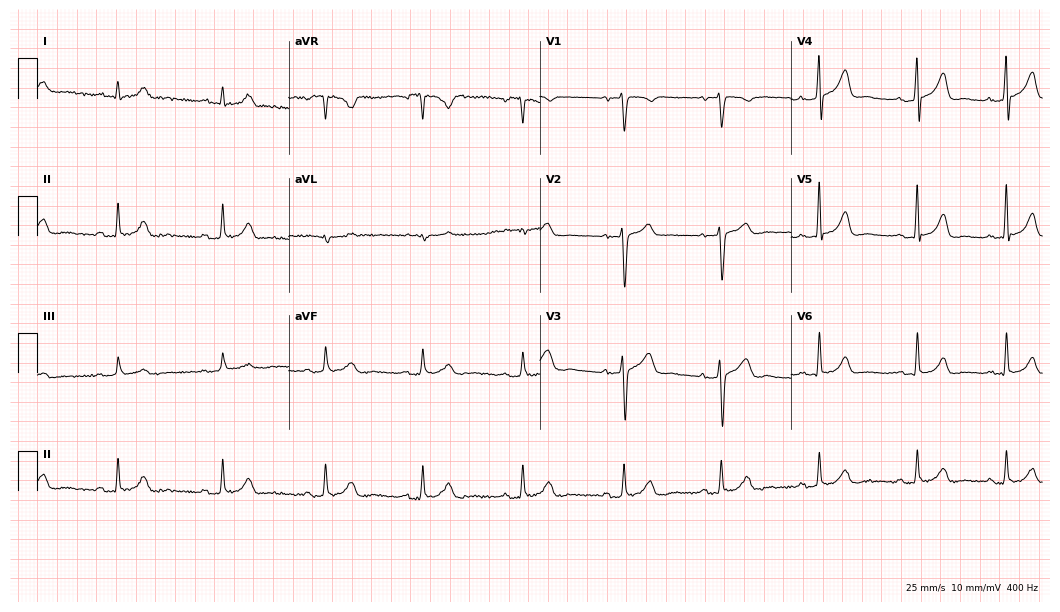
Resting 12-lead electrocardiogram. Patient: a male, 42 years old. Read as a normal ECG.